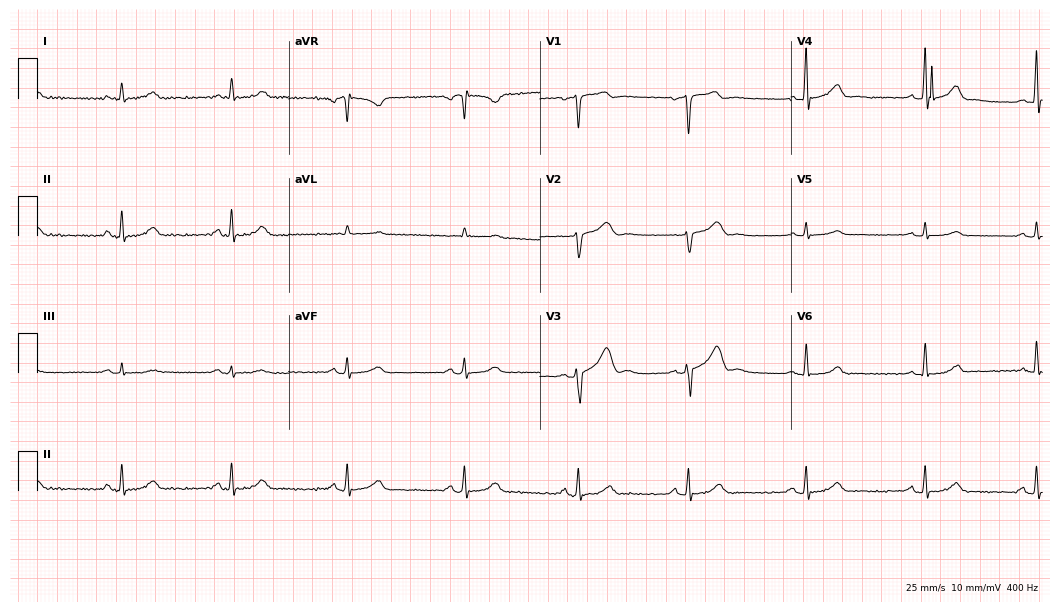
12-lead ECG (10.2-second recording at 400 Hz) from a 59-year-old male patient. Screened for six findings — first-degree AV block, right bundle branch block (RBBB), left bundle branch block (LBBB), sinus bradycardia, atrial fibrillation (AF), sinus tachycardia — none is recorded.